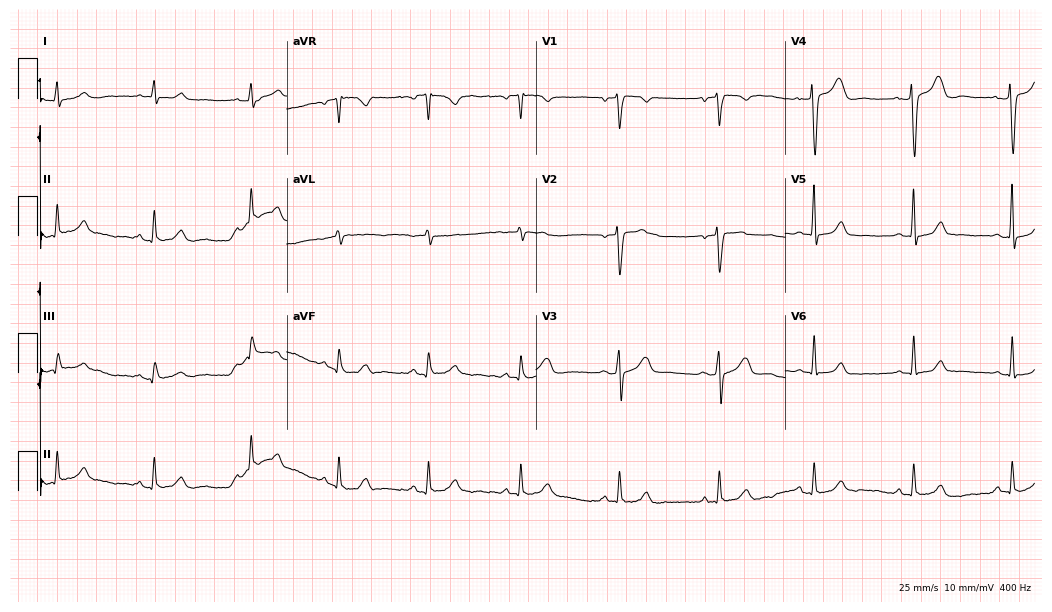
Resting 12-lead electrocardiogram. Patient: a female, 48 years old. None of these six findings is recorded: first-degree AV block, right bundle branch block, left bundle branch block, sinus bradycardia, atrial fibrillation, sinus tachycardia. Other findings, if any, are not listed.